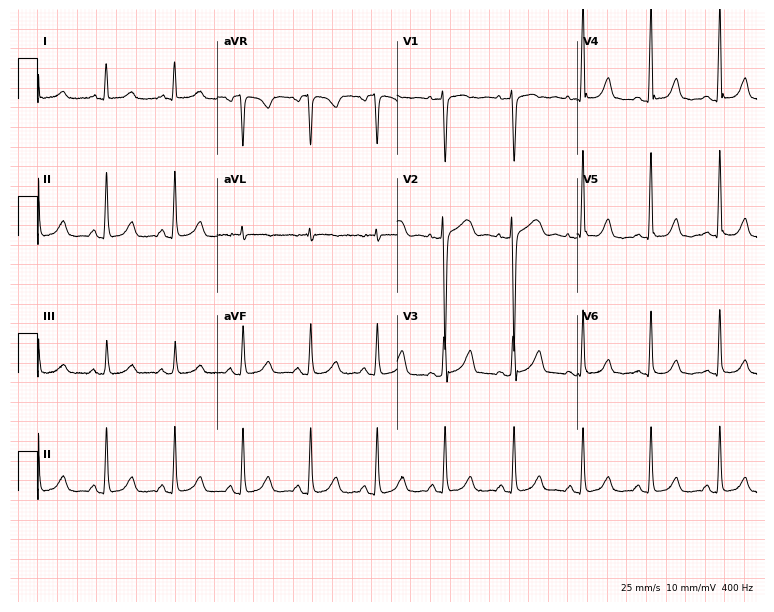
ECG (7.3-second recording at 400 Hz) — a 29-year-old woman. Screened for six findings — first-degree AV block, right bundle branch block (RBBB), left bundle branch block (LBBB), sinus bradycardia, atrial fibrillation (AF), sinus tachycardia — none is recorded. Only these six findings were labelled.